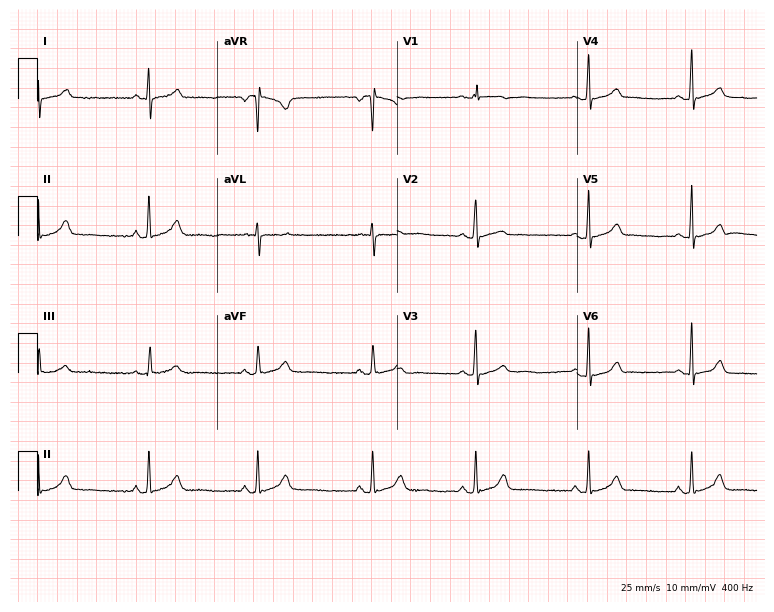
Standard 12-lead ECG recorded from a female, 20 years old (7.3-second recording at 400 Hz). Read as a normal ECG.